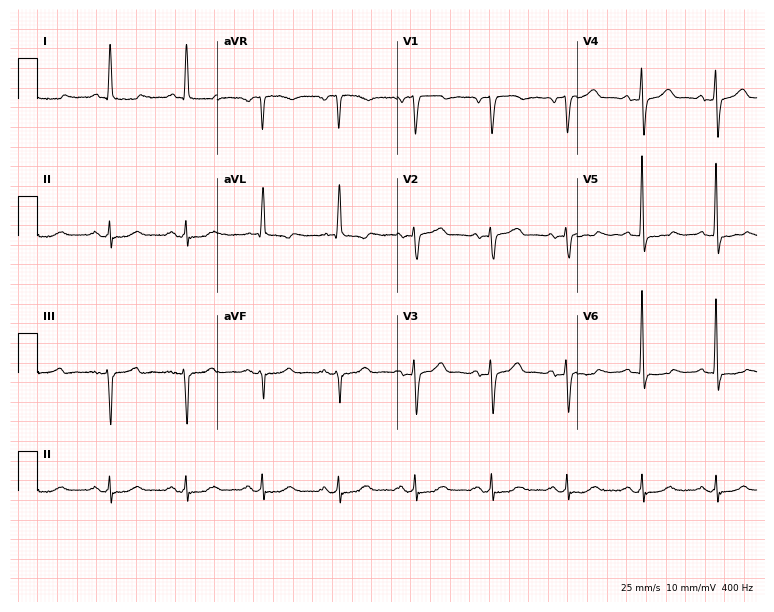
ECG — a man, 76 years old. Screened for six findings — first-degree AV block, right bundle branch block, left bundle branch block, sinus bradycardia, atrial fibrillation, sinus tachycardia — none is recorded.